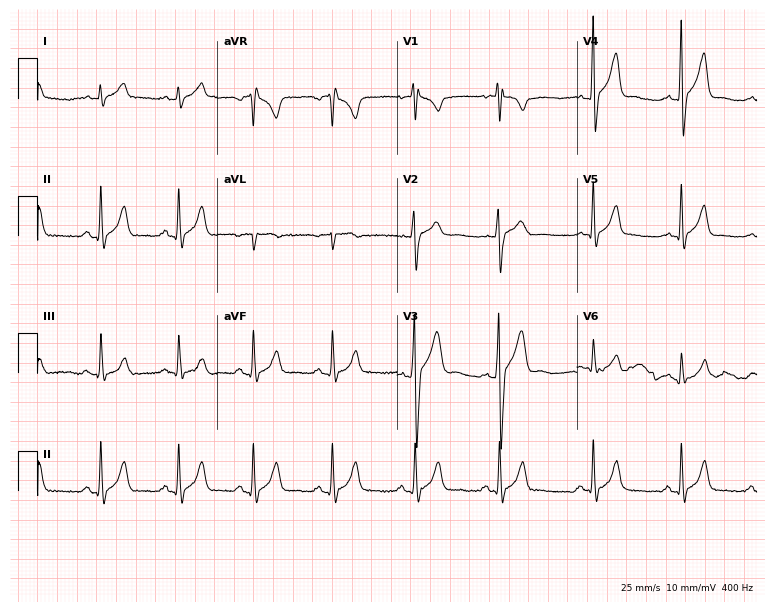
Standard 12-lead ECG recorded from a male, 18 years old (7.3-second recording at 400 Hz). None of these six findings is recorded: first-degree AV block, right bundle branch block, left bundle branch block, sinus bradycardia, atrial fibrillation, sinus tachycardia. Other findings, if any, are not listed.